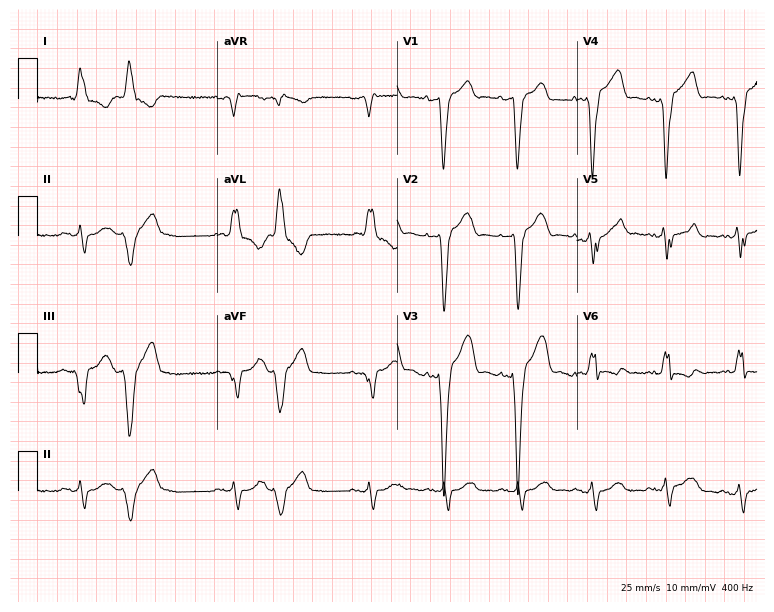
12-lead ECG (7.3-second recording at 400 Hz) from an 80-year-old man. Findings include left bundle branch block (LBBB).